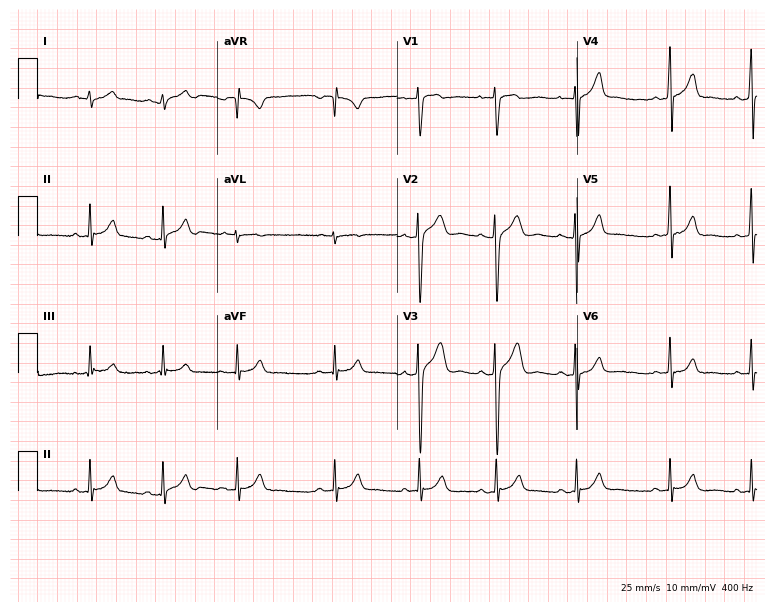
Electrocardiogram, a male patient, 17 years old. Overall reading on record: normal ECG.